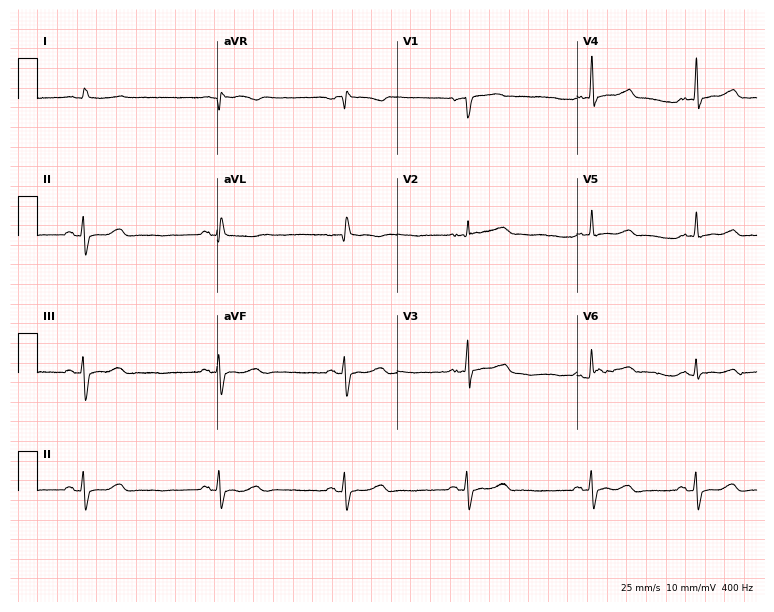
Resting 12-lead electrocardiogram. Patient: an 81-year-old male. The tracing shows sinus bradycardia (a sinus rate of 50 beats per minute or less).